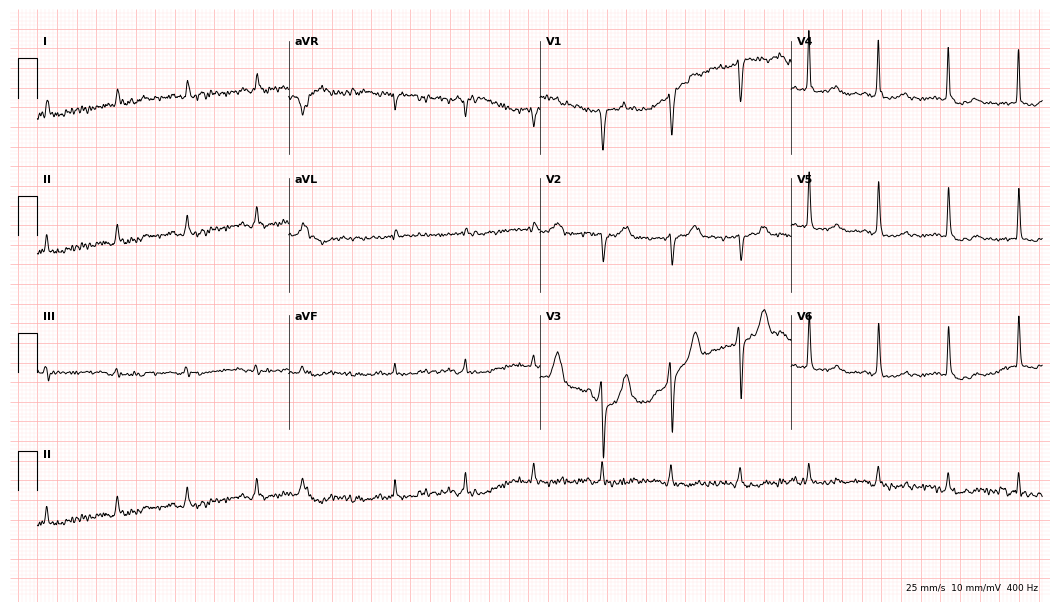
12-lead ECG from an 85-year-old male patient. No first-degree AV block, right bundle branch block, left bundle branch block, sinus bradycardia, atrial fibrillation or sinus tachycardia recorded for this tracing.